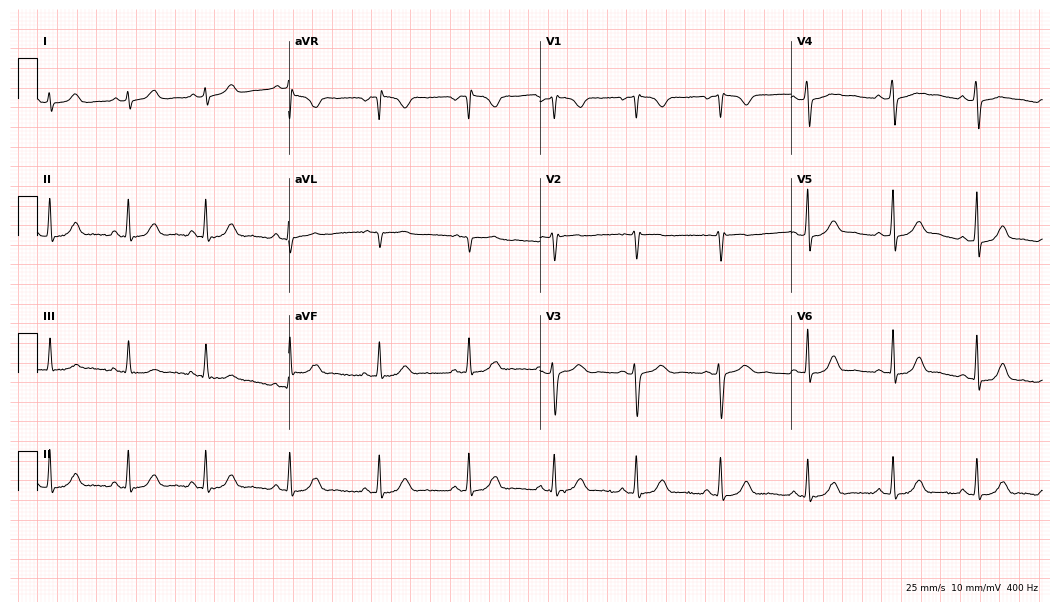
ECG — a 20-year-old female. Labelled as a normal ECG.